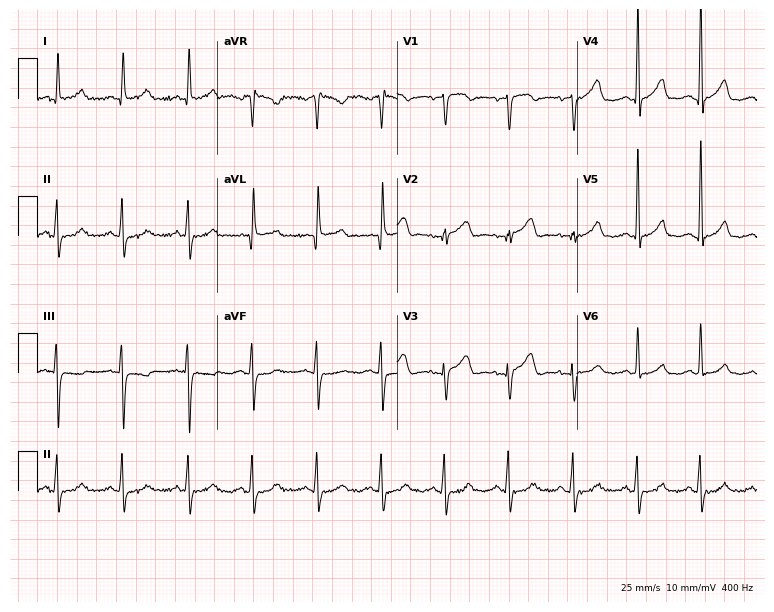
Standard 12-lead ECG recorded from a 51-year-old female patient. Read as a normal ECG.